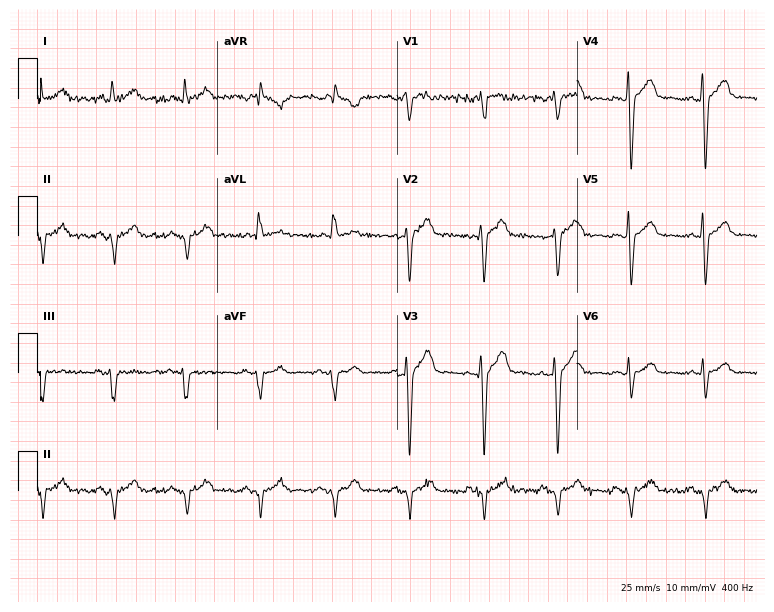
ECG (7.3-second recording at 400 Hz) — a 51-year-old male. Screened for six findings — first-degree AV block, right bundle branch block, left bundle branch block, sinus bradycardia, atrial fibrillation, sinus tachycardia — none is recorded.